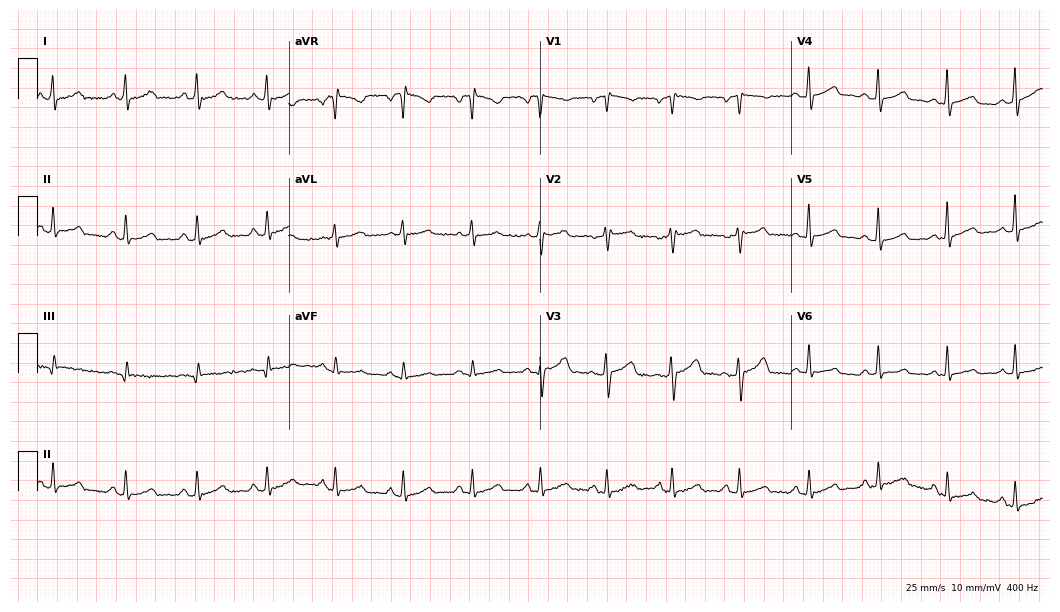
12-lead ECG from a female patient, 25 years old. Recorded interpretation: within normal limits.